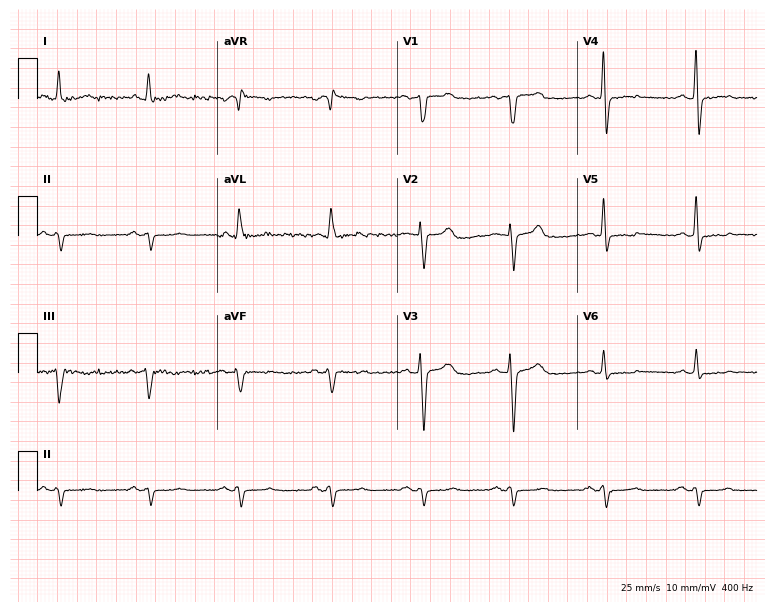
ECG — a 78-year-old male. Screened for six findings — first-degree AV block, right bundle branch block (RBBB), left bundle branch block (LBBB), sinus bradycardia, atrial fibrillation (AF), sinus tachycardia — none is recorded. Findings outside these six are not listed.